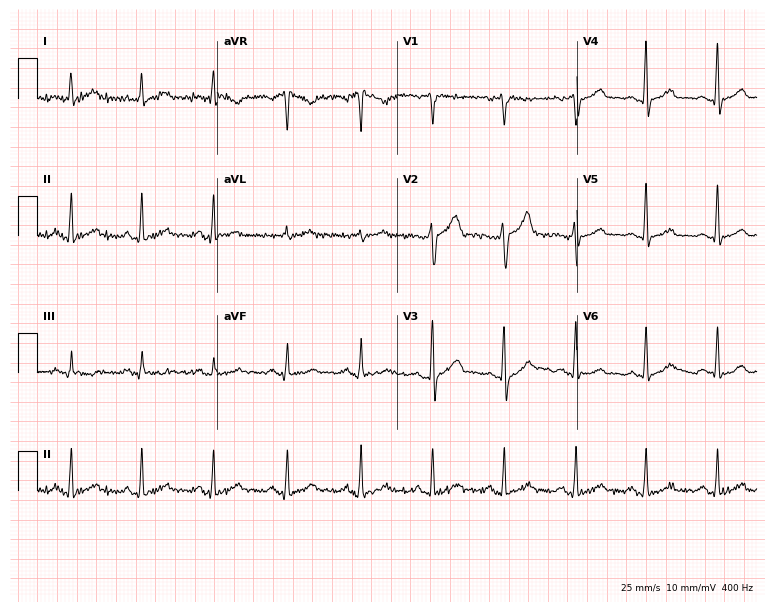
Resting 12-lead electrocardiogram. Patient: a 41-year-old man. Read as a normal ECG.